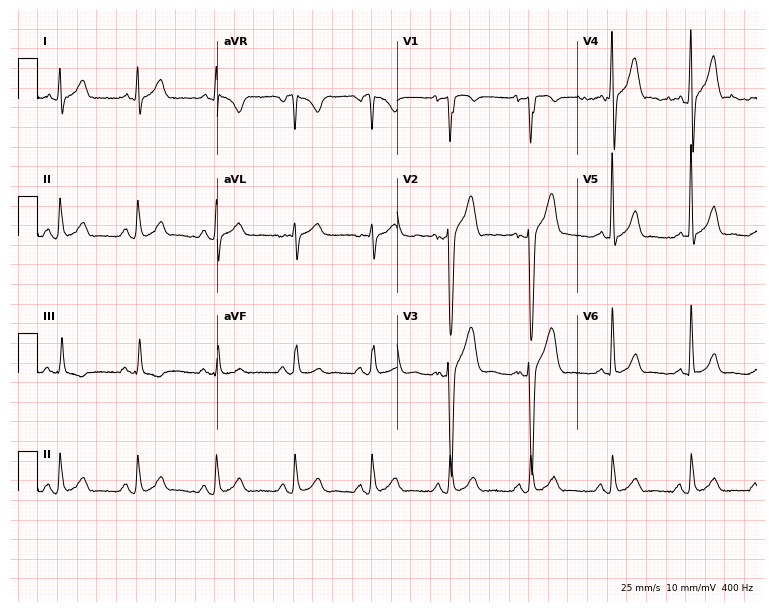
12-lead ECG from a man, 30 years old. Recorded interpretation: within normal limits.